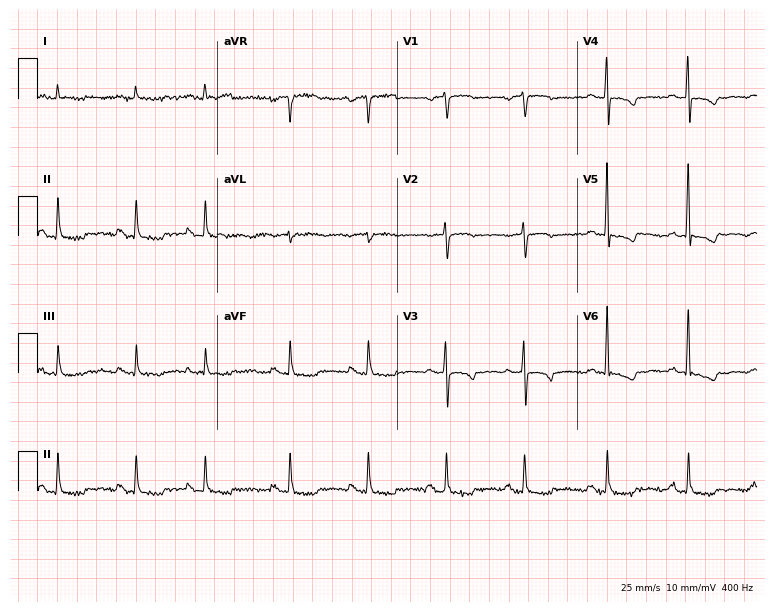
12-lead ECG from a 76-year-old male. No first-degree AV block, right bundle branch block (RBBB), left bundle branch block (LBBB), sinus bradycardia, atrial fibrillation (AF) or sinus tachycardia recorded for this tracing. Only these six findings were labelled.